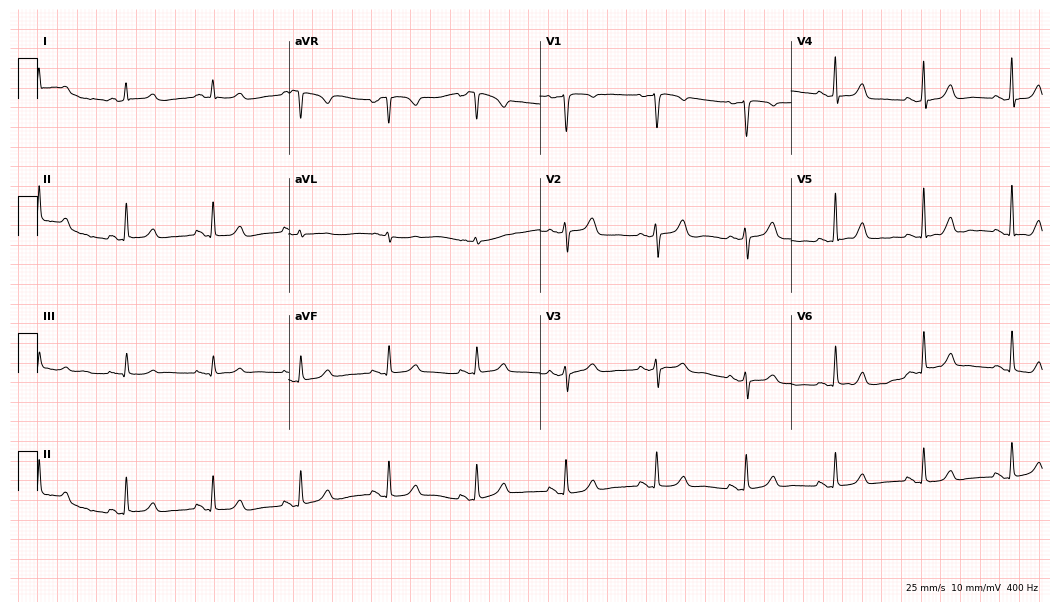
12-lead ECG from a 48-year-old woman (10.2-second recording at 400 Hz). No first-degree AV block, right bundle branch block, left bundle branch block, sinus bradycardia, atrial fibrillation or sinus tachycardia recorded for this tracing.